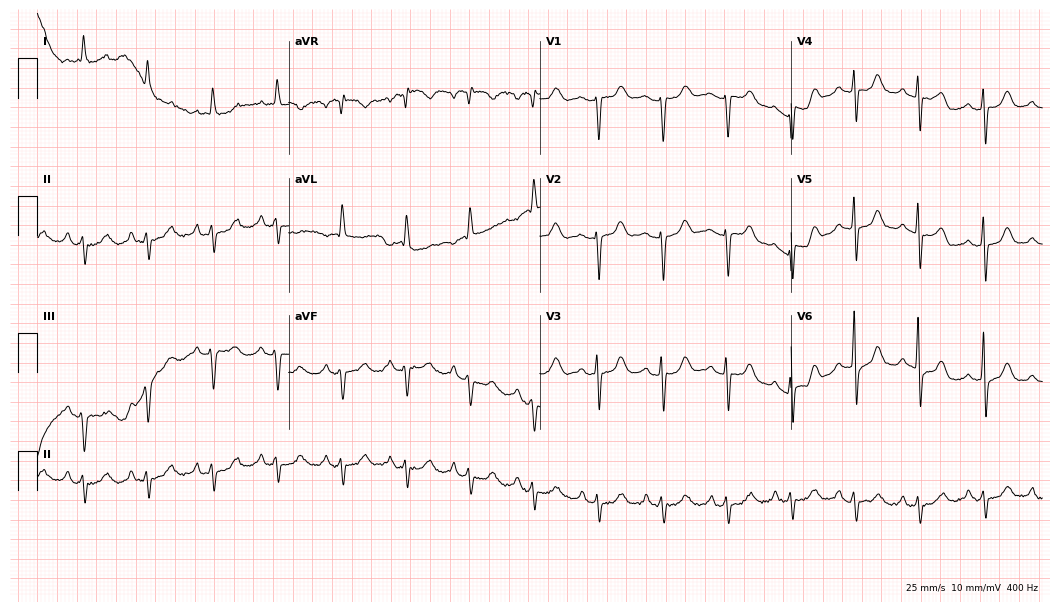
12-lead ECG (10.2-second recording at 400 Hz) from an 85-year-old woman. Screened for six findings — first-degree AV block, right bundle branch block, left bundle branch block, sinus bradycardia, atrial fibrillation, sinus tachycardia — none is recorded.